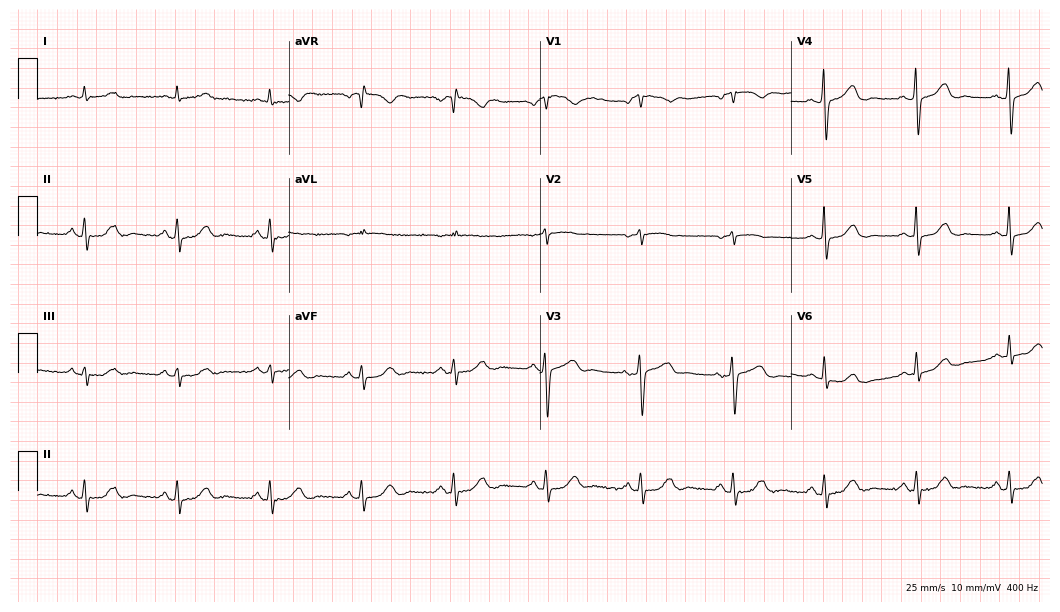
Standard 12-lead ECG recorded from a female patient, 78 years old. None of these six findings is recorded: first-degree AV block, right bundle branch block, left bundle branch block, sinus bradycardia, atrial fibrillation, sinus tachycardia.